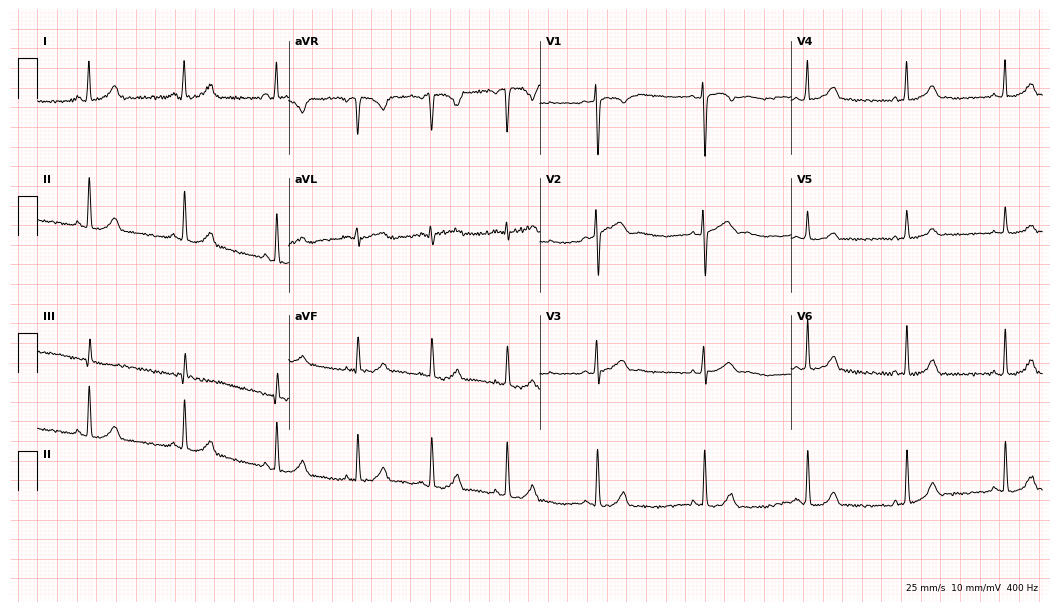
12-lead ECG from a woman, 17 years old. No first-degree AV block, right bundle branch block (RBBB), left bundle branch block (LBBB), sinus bradycardia, atrial fibrillation (AF) or sinus tachycardia recorded for this tracing.